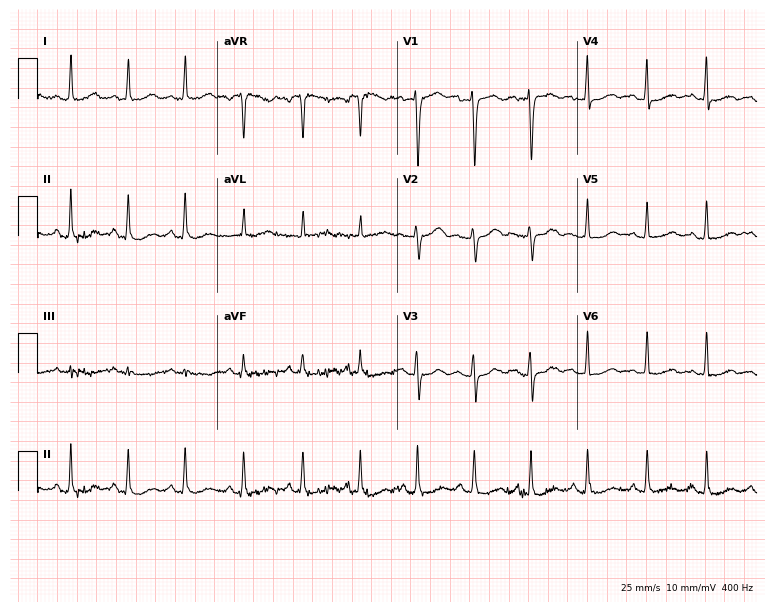
12-lead ECG (7.3-second recording at 400 Hz) from a 48-year-old female patient. Screened for six findings — first-degree AV block, right bundle branch block (RBBB), left bundle branch block (LBBB), sinus bradycardia, atrial fibrillation (AF), sinus tachycardia — none is recorded.